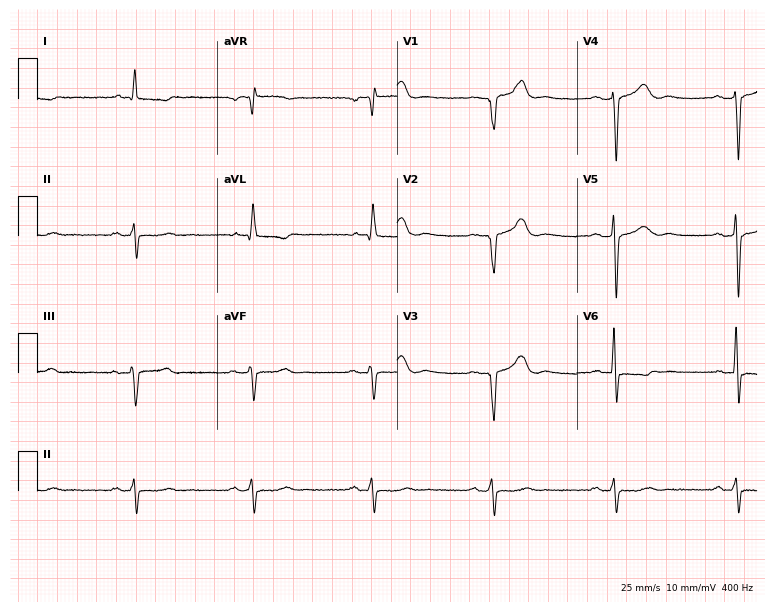
ECG (7.3-second recording at 400 Hz) — a male patient, 83 years old. Findings include sinus bradycardia (a sinus rate of 50 beats per minute or less).